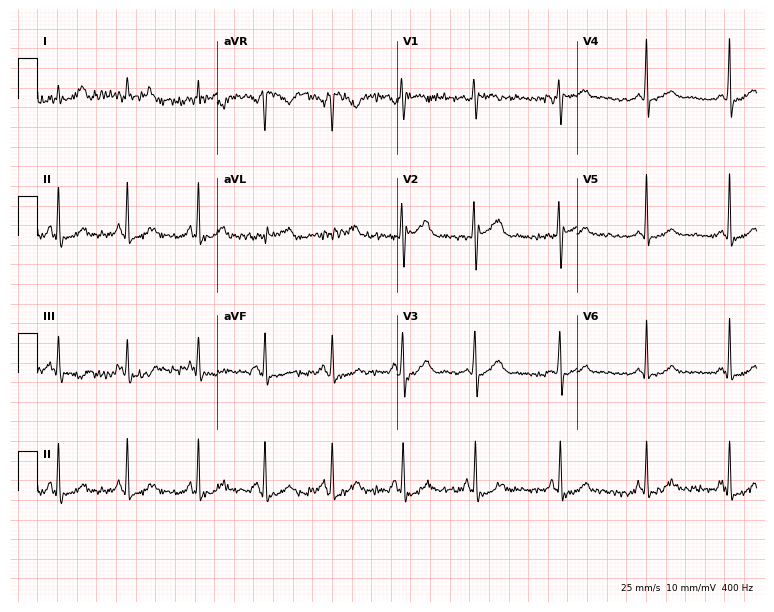
Resting 12-lead electrocardiogram (7.3-second recording at 400 Hz). Patient: a woman, 33 years old. Read as a normal ECG.